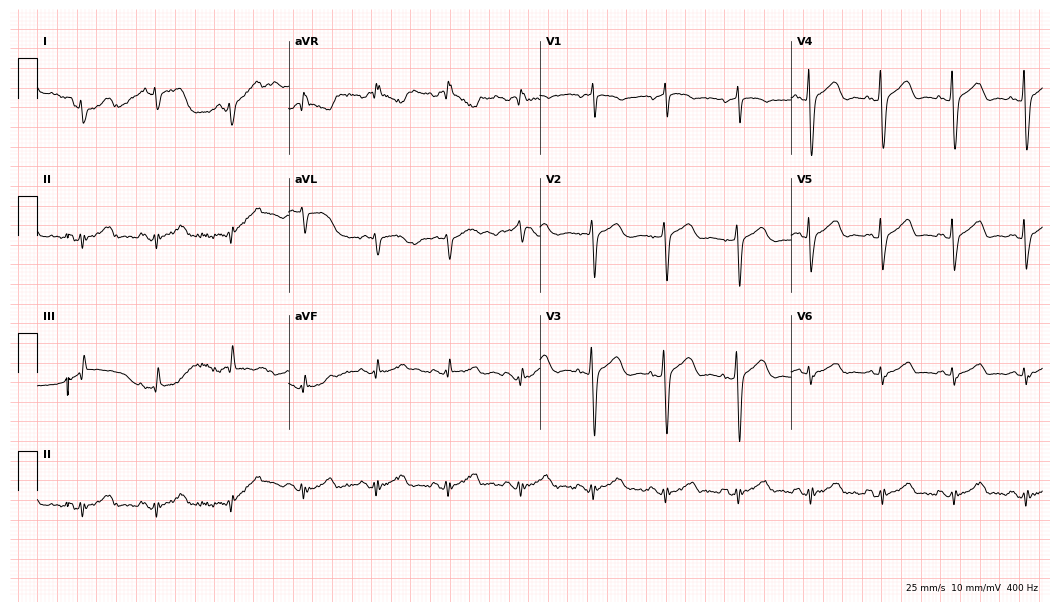
Electrocardiogram (10.2-second recording at 400 Hz), an 82-year-old female. Of the six screened findings (first-degree AV block, right bundle branch block (RBBB), left bundle branch block (LBBB), sinus bradycardia, atrial fibrillation (AF), sinus tachycardia), none is recorded. Only these six findings were labelled.